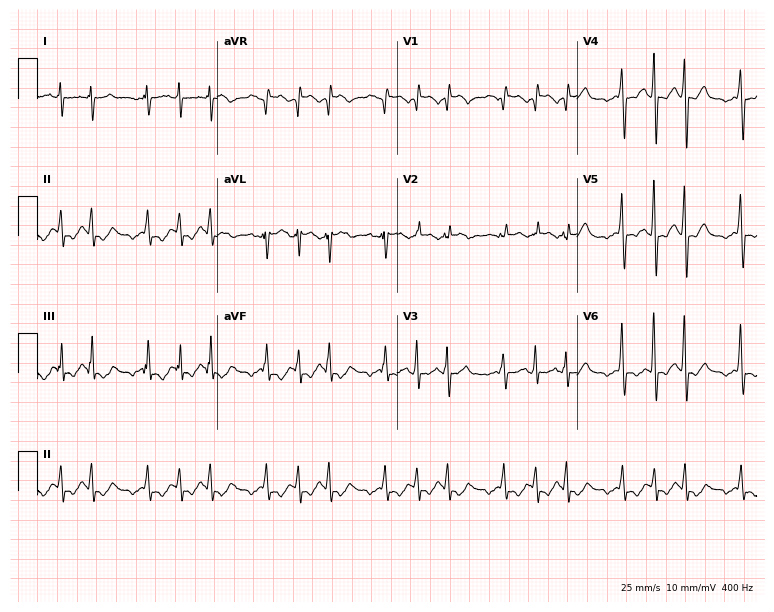
ECG (7.3-second recording at 400 Hz) — a female patient, 46 years old. Findings include sinus tachycardia (a sinus rate of 100 beats per minute or more).